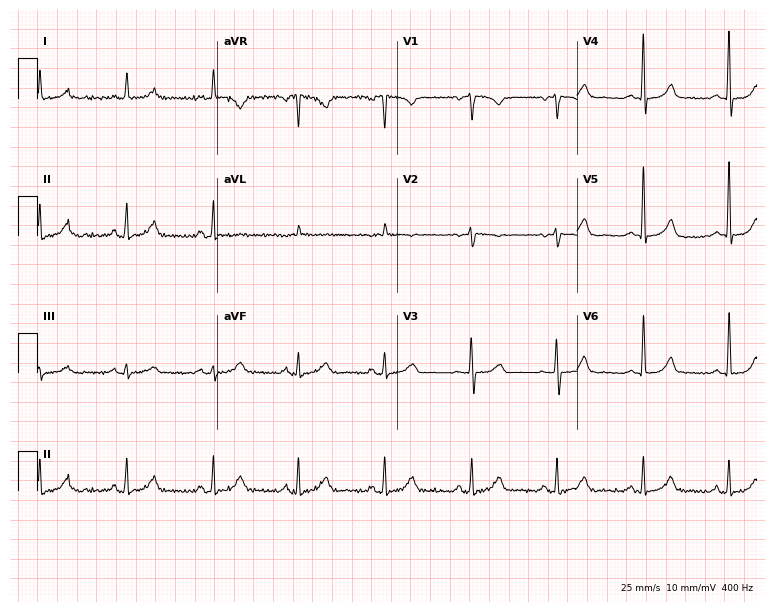
Electrocardiogram (7.3-second recording at 400 Hz), a 76-year-old man. Overall reading on record: normal ECG.